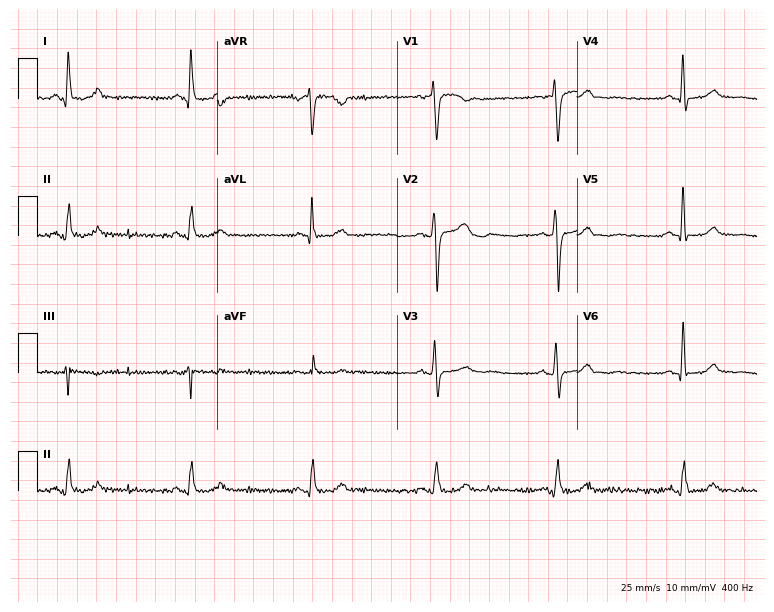
Standard 12-lead ECG recorded from a 57-year-old woman (7.3-second recording at 400 Hz). The tracing shows sinus bradycardia (a sinus rate of 50 beats per minute or less).